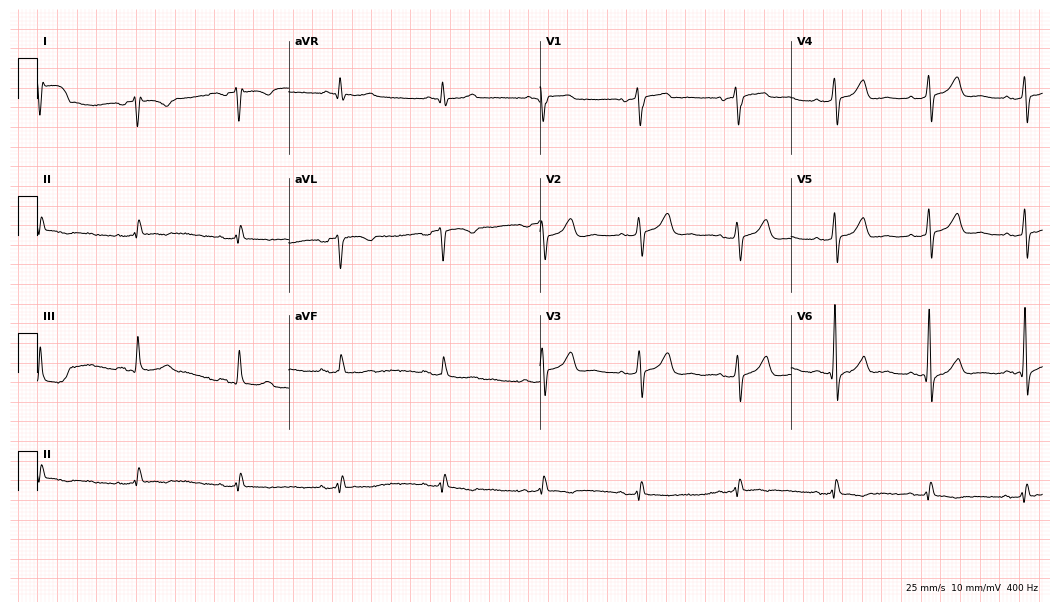
Standard 12-lead ECG recorded from a man, 74 years old (10.2-second recording at 400 Hz). None of these six findings is recorded: first-degree AV block, right bundle branch block, left bundle branch block, sinus bradycardia, atrial fibrillation, sinus tachycardia.